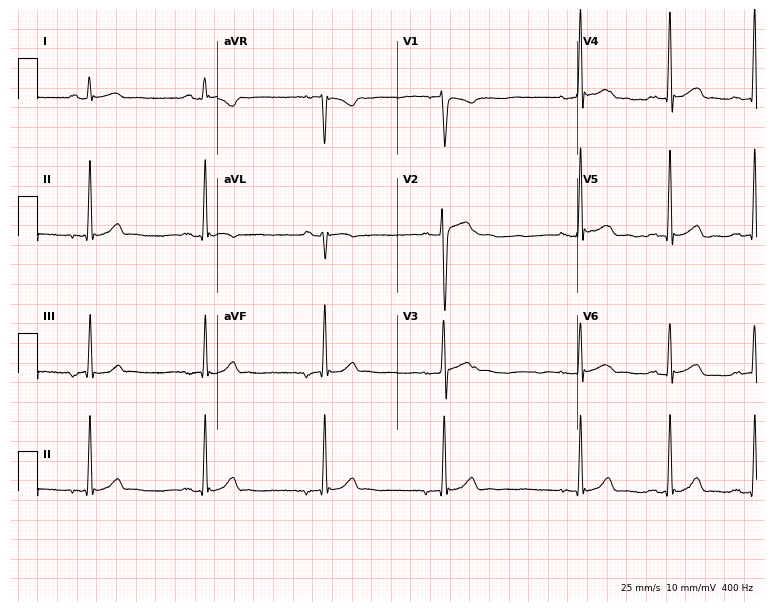
12-lead ECG from a male patient, 22 years old. No first-degree AV block, right bundle branch block, left bundle branch block, sinus bradycardia, atrial fibrillation or sinus tachycardia recorded for this tracing.